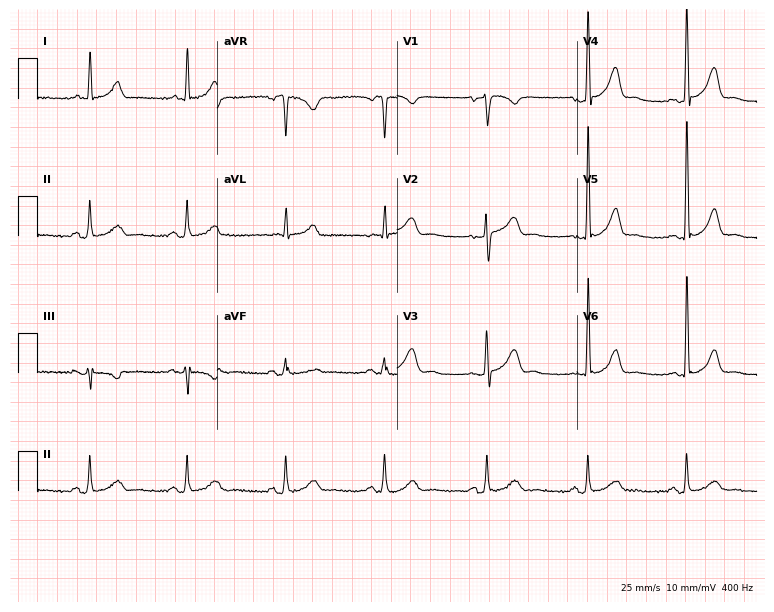
12-lead ECG (7.3-second recording at 400 Hz) from a male patient, 58 years old. Labelled as a normal ECG.